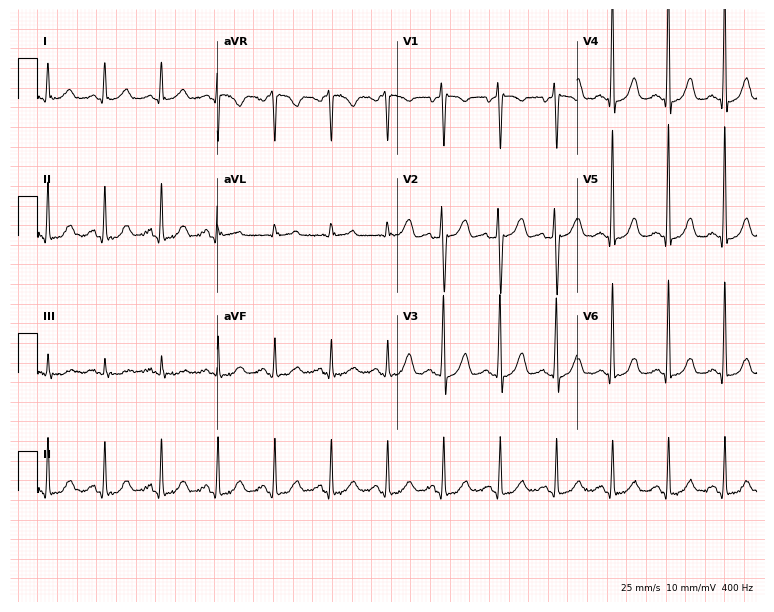
ECG — a woman, 66 years old. Findings include sinus tachycardia (a sinus rate of 100 beats per minute or more).